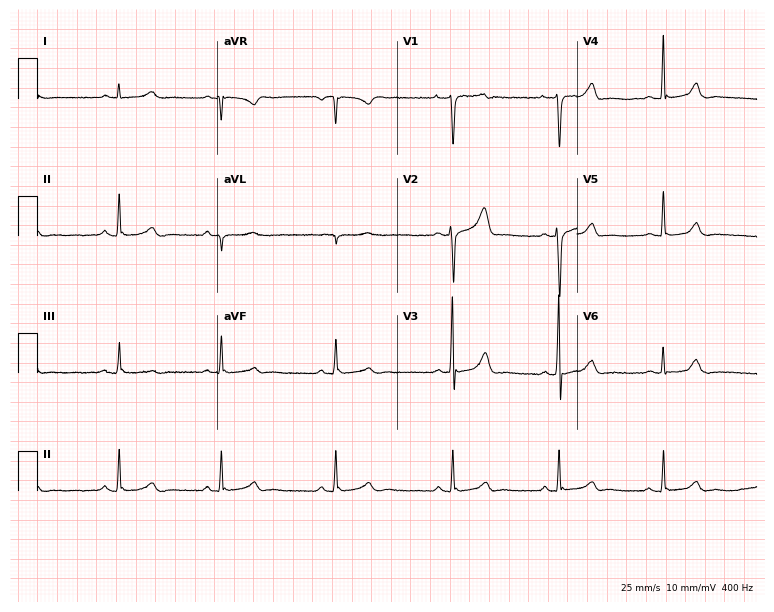
ECG — a 26-year-old man. Labelled as a normal ECG.